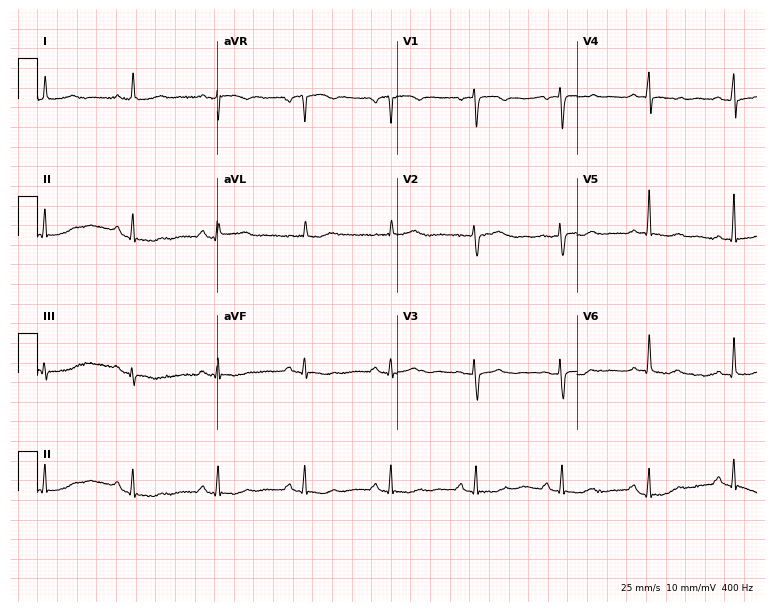
12-lead ECG from a woman, 65 years old. Labelled as a normal ECG.